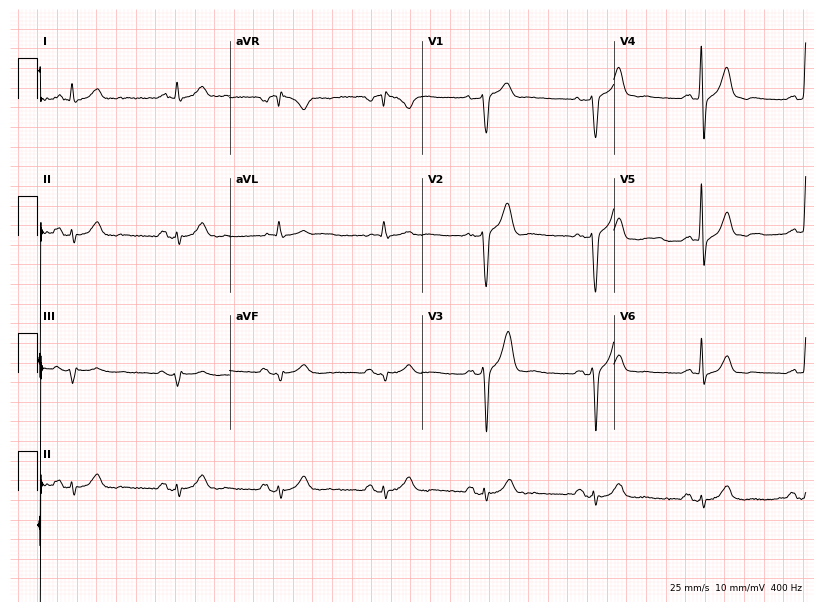
12-lead ECG (7.8-second recording at 400 Hz) from a 48-year-old male. Screened for six findings — first-degree AV block, right bundle branch block (RBBB), left bundle branch block (LBBB), sinus bradycardia, atrial fibrillation (AF), sinus tachycardia — none is recorded.